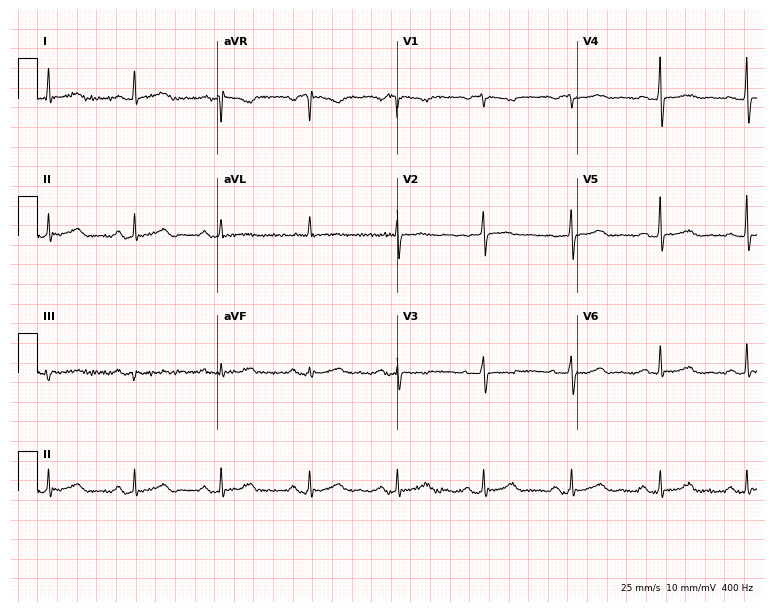
Electrocardiogram, a 71-year-old woman. Overall reading on record: normal ECG.